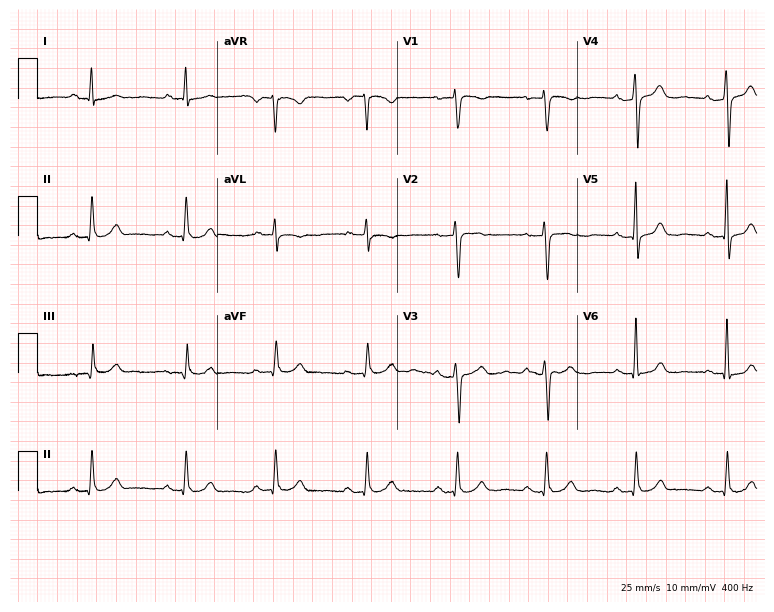
Standard 12-lead ECG recorded from a female, 55 years old (7.3-second recording at 400 Hz). Read as a normal ECG.